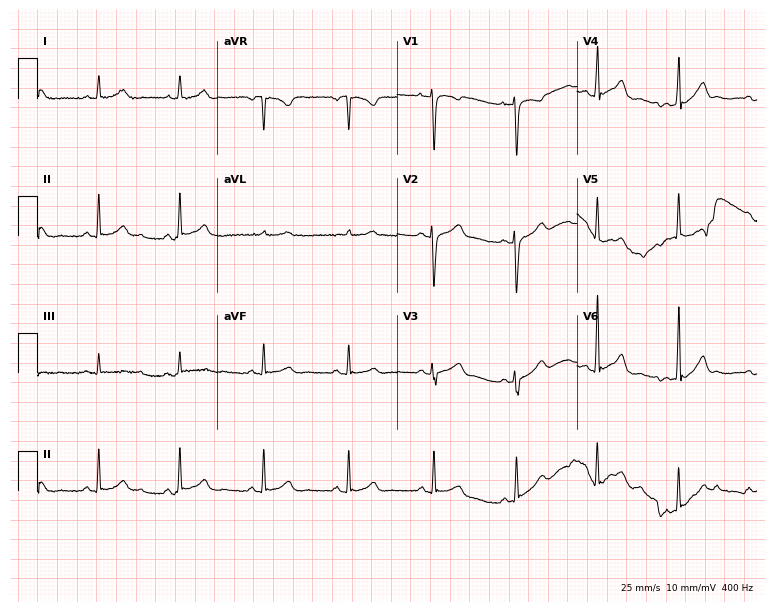
Resting 12-lead electrocardiogram (7.3-second recording at 400 Hz). Patient: a 37-year-old female. Read as a normal ECG.